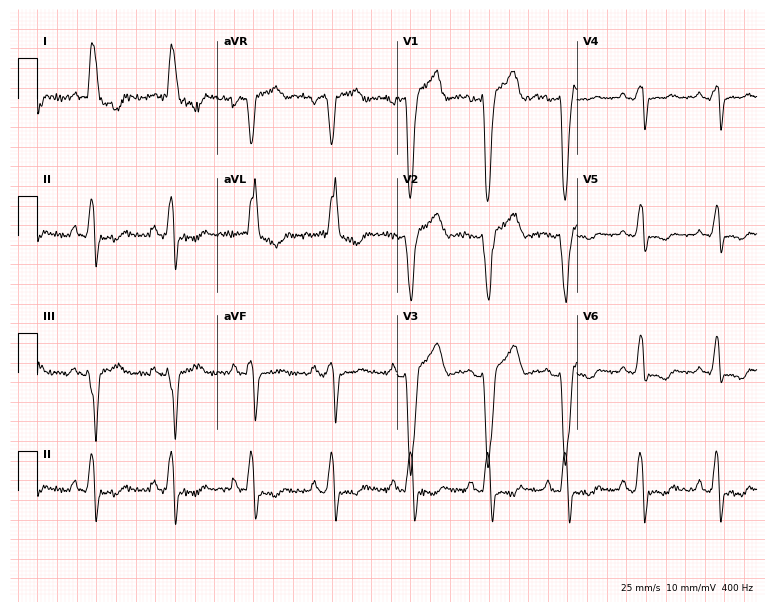
12-lead ECG from a woman, 52 years old. Findings include left bundle branch block (LBBB).